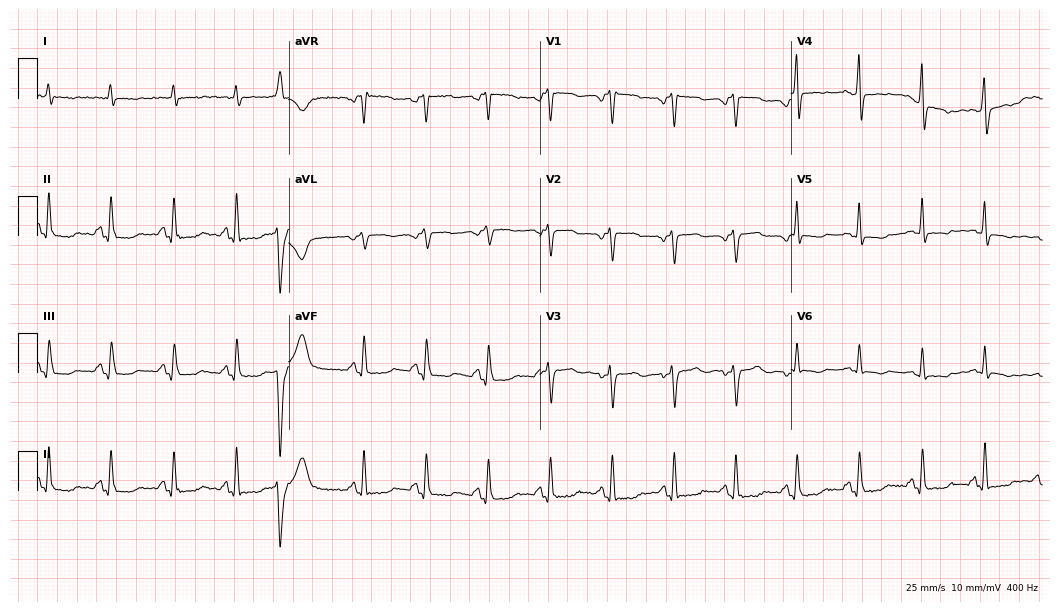
12-lead ECG (10.2-second recording at 400 Hz) from a female patient, 48 years old. Screened for six findings — first-degree AV block, right bundle branch block, left bundle branch block, sinus bradycardia, atrial fibrillation, sinus tachycardia — none is recorded.